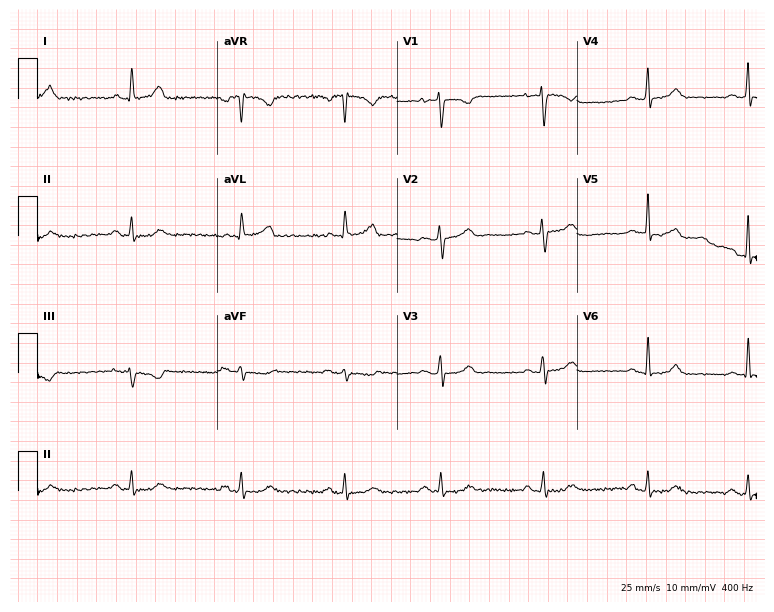
Electrocardiogram, a female, 36 years old. Of the six screened findings (first-degree AV block, right bundle branch block, left bundle branch block, sinus bradycardia, atrial fibrillation, sinus tachycardia), none is recorded.